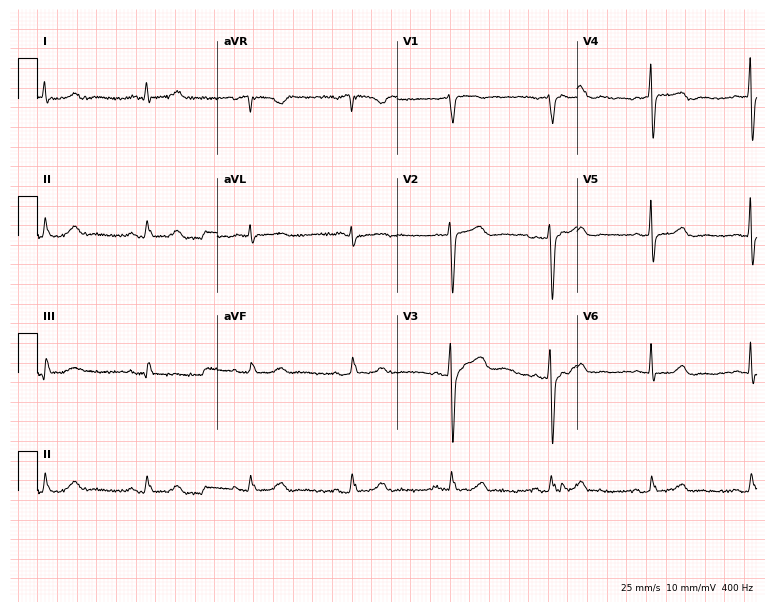
Standard 12-lead ECG recorded from a 64-year-old male. Read as a normal ECG.